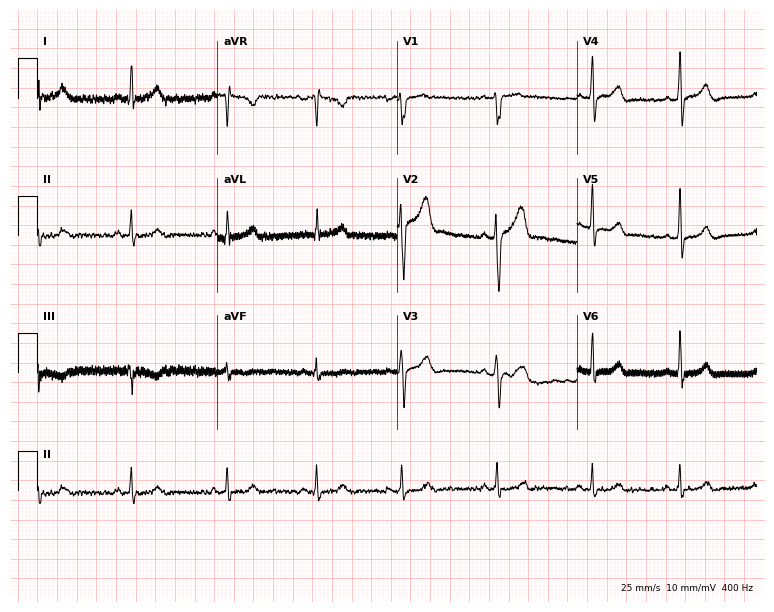
Resting 12-lead electrocardiogram. Patient: a 23-year-old male. None of these six findings is recorded: first-degree AV block, right bundle branch block, left bundle branch block, sinus bradycardia, atrial fibrillation, sinus tachycardia. Findings outside these six are not listed.